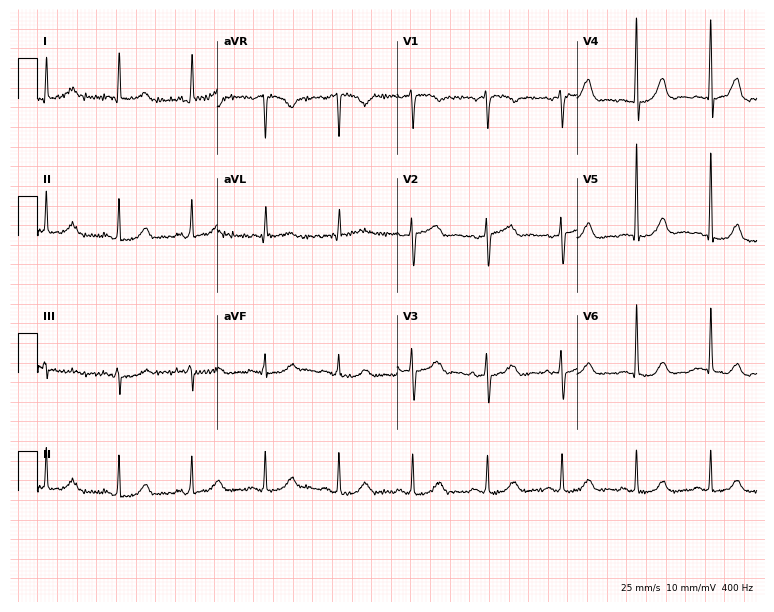
12-lead ECG from a female patient, 68 years old. No first-degree AV block, right bundle branch block, left bundle branch block, sinus bradycardia, atrial fibrillation or sinus tachycardia recorded for this tracing.